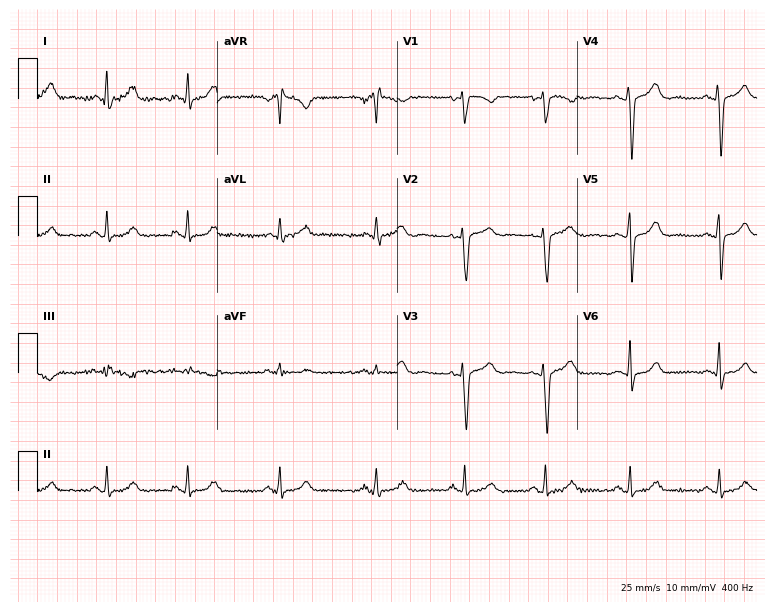
12-lead ECG from a female patient, 35 years old (7.3-second recording at 400 Hz). No first-degree AV block, right bundle branch block, left bundle branch block, sinus bradycardia, atrial fibrillation or sinus tachycardia recorded for this tracing.